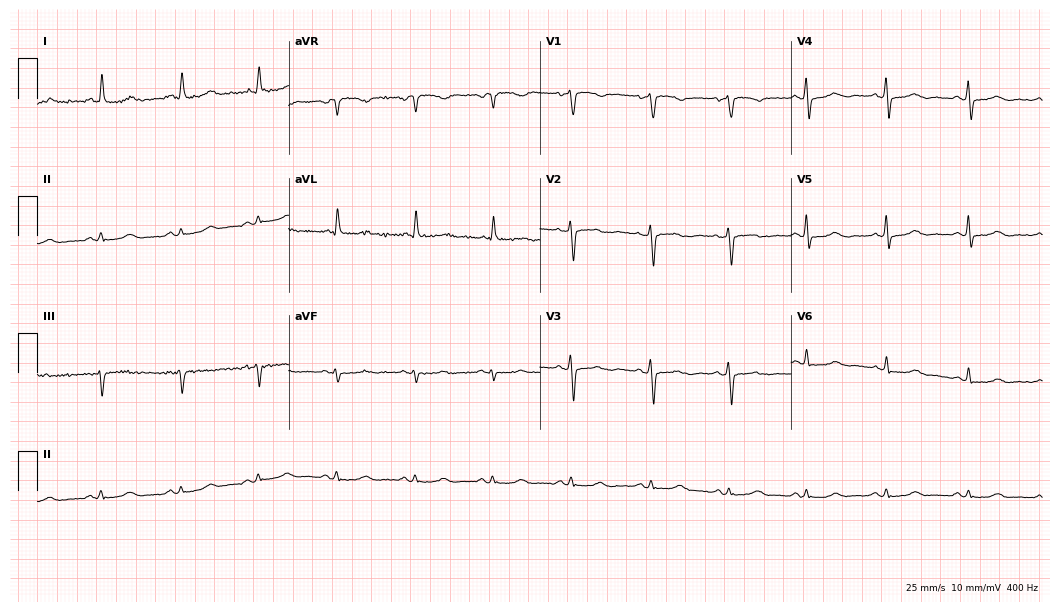
12-lead ECG from a 62-year-old female. Screened for six findings — first-degree AV block, right bundle branch block, left bundle branch block, sinus bradycardia, atrial fibrillation, sinus tachycardia — none is recorded. Other findings, if any, are not listed.